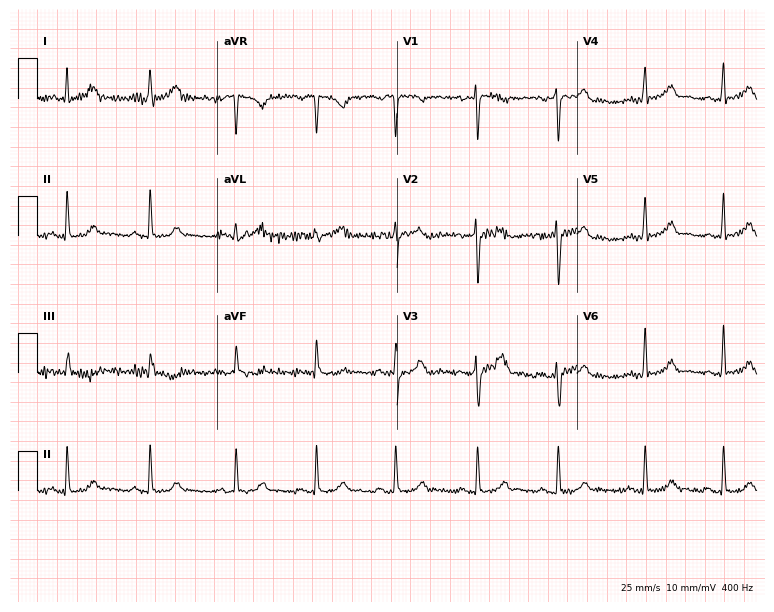
ECG — a 25-year-old male patient. Labelled as a normal ECG.